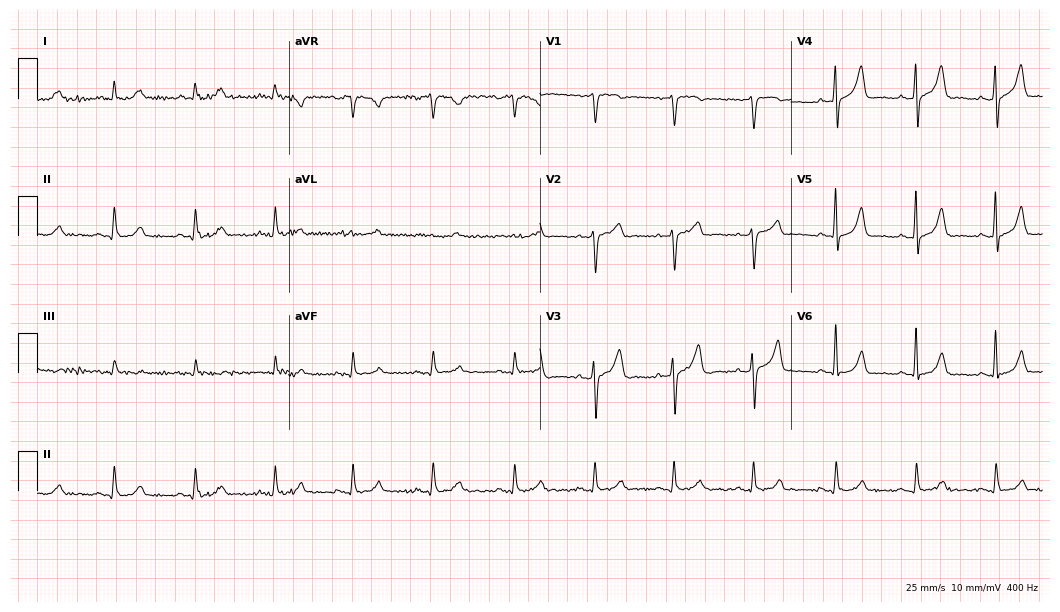
12-lead ECG from a male patient, 66 years old. Labelled as a normal ECG.